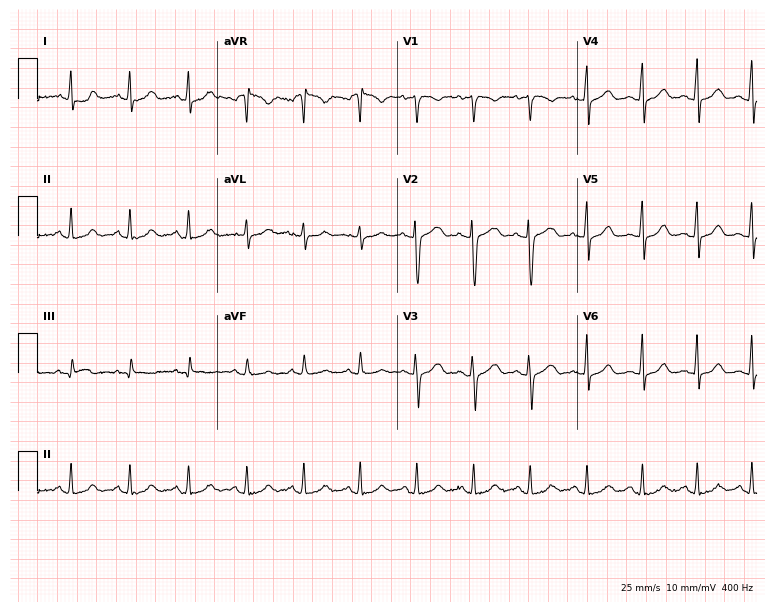
12-lead ECG (7.3-second recording at 400 Hz) from a 34-year-old female patient. Findings include sinus tachycardia (a sinus rate of 100 beats per minute or more).